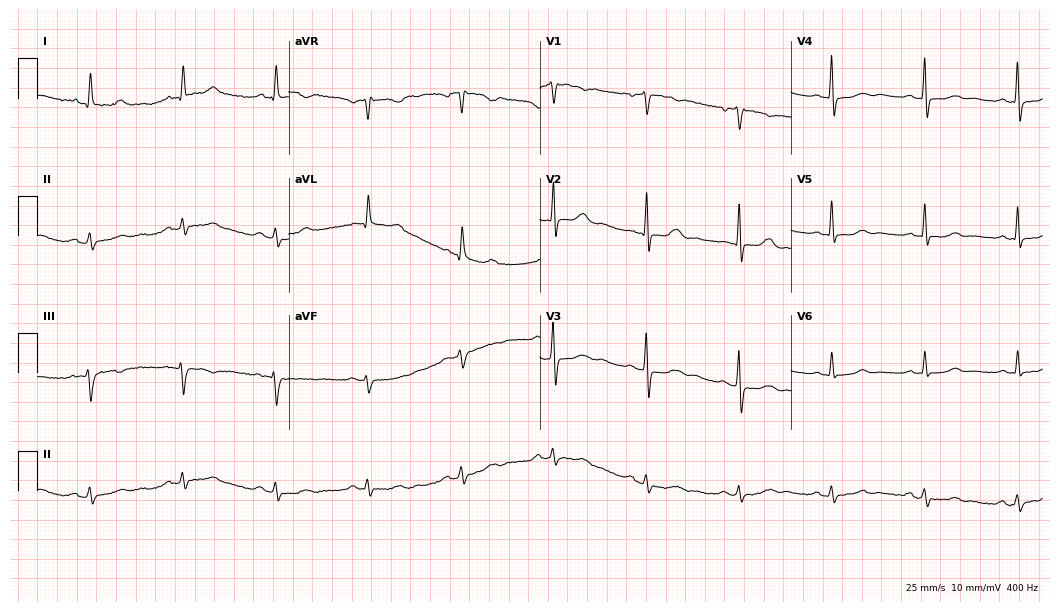
12-lead ECG (10.2-second recording at 400 Hz) from a woman, 78 years old. Labelled as a normal ECG.